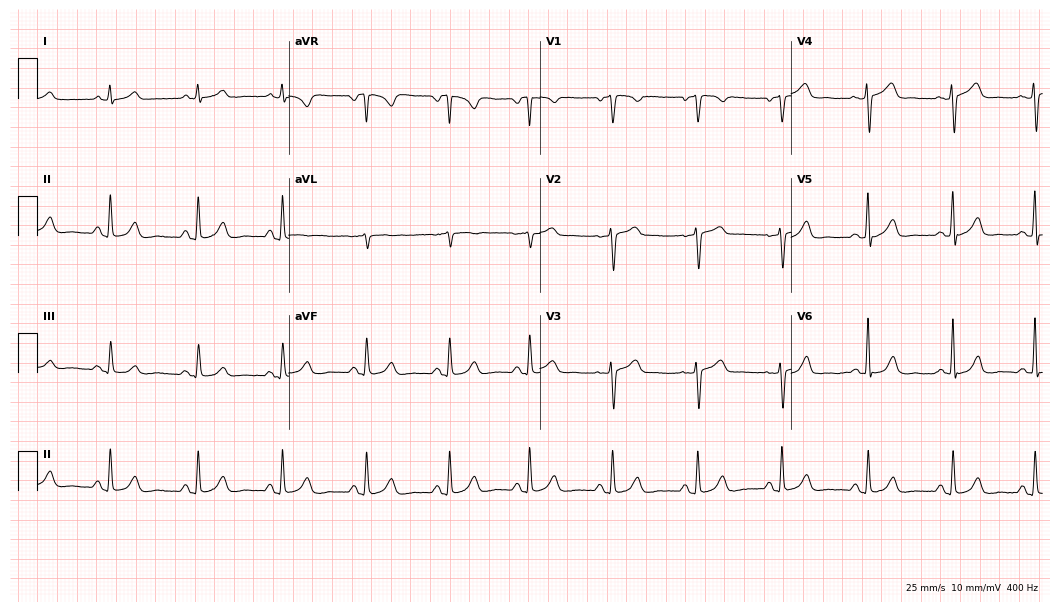
12-lead ECG (10.2-second recording at 400 Hz) from a 59-year-old female patient. Labelled as a normal ECG.